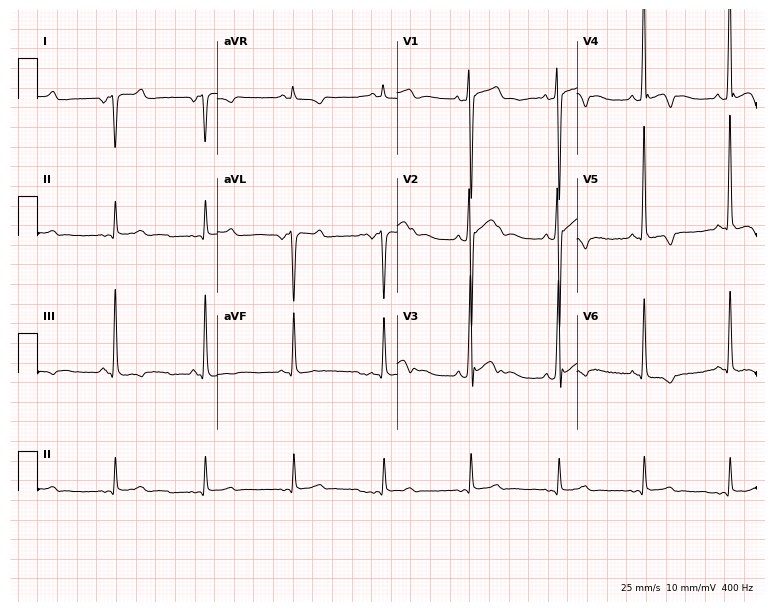
Resting 12-lead electrocardiogram (7.3-second recording at 400 Hz). Patient: a 26-year-old man. None of these six findings is recorded: first-degree AV block, right bundle branch block, left bundle branch block, sinus bradycardia, atrial fibrillation, sinus tachycardia. Other findings, if any, are not listed.